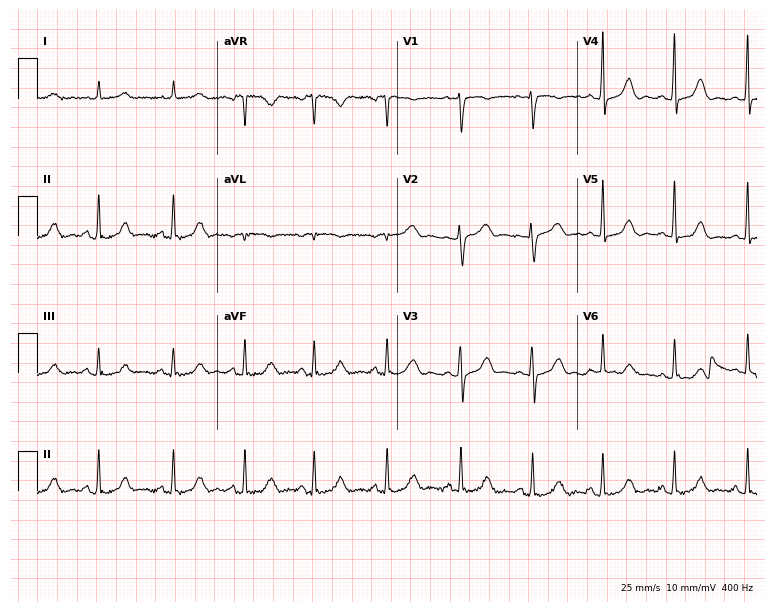
Standard 12-lead ECG recorded from a 35-year-old female patient (7.3-second recording at 400 Hz). Read as a normal ECG.